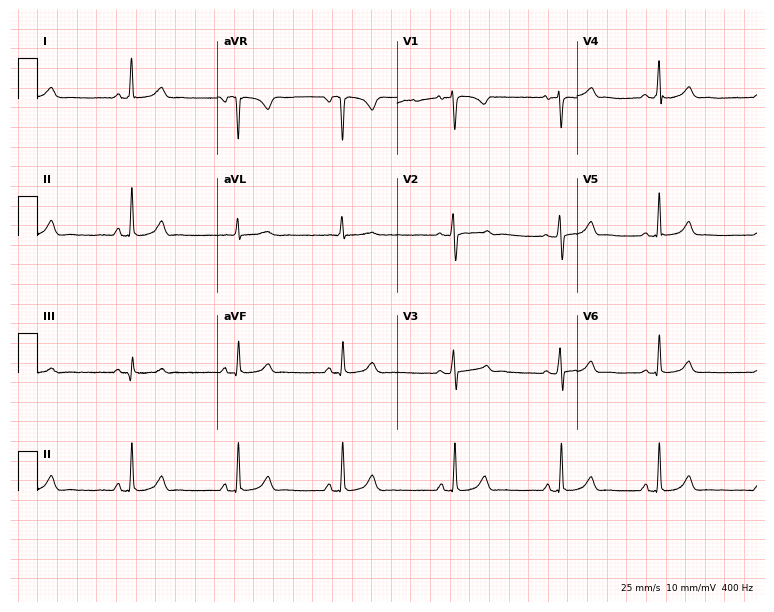
12-lead ECG from a woman, 26 years old. Labelled as a normal ECG.